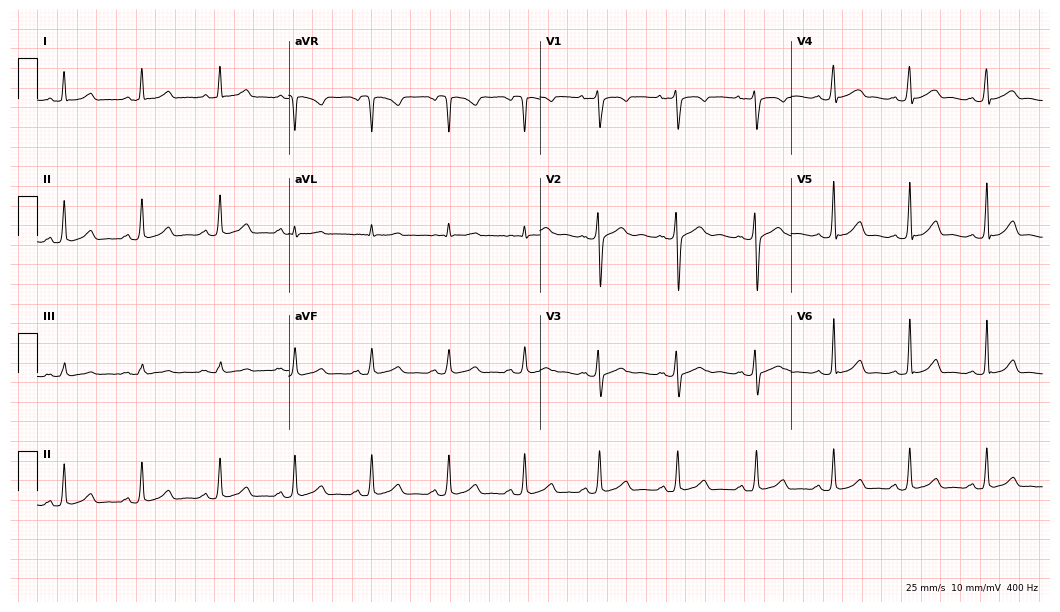
12-lead ECG (10.2-second recording at 400 Hz) from a female, 26 years old. Labelled as a normal ECG.